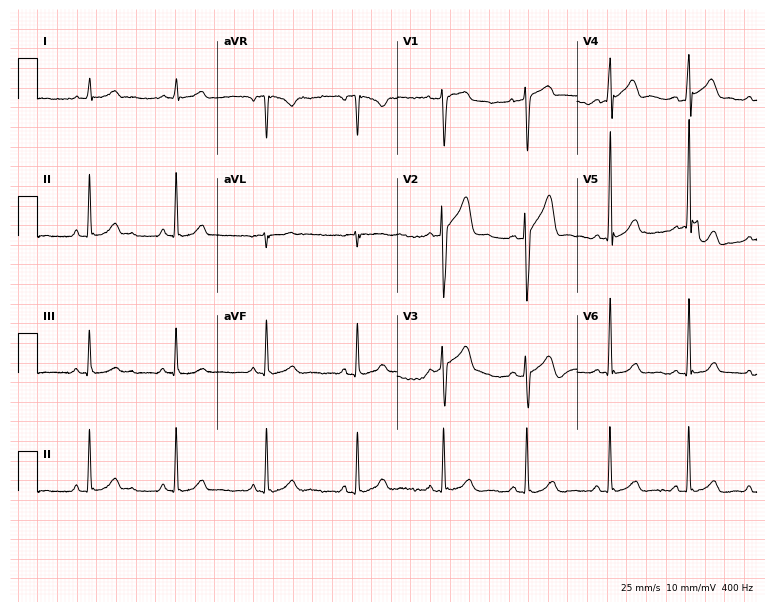
12-lead ECG from a 32-year-old male. No first-degree AV block, right bundle branch block (RBBB), left bundle branch block (LBBB), sinus bradycardia, atrial fibrillation (AF) or sinus tachycardia recorded for this tracing.